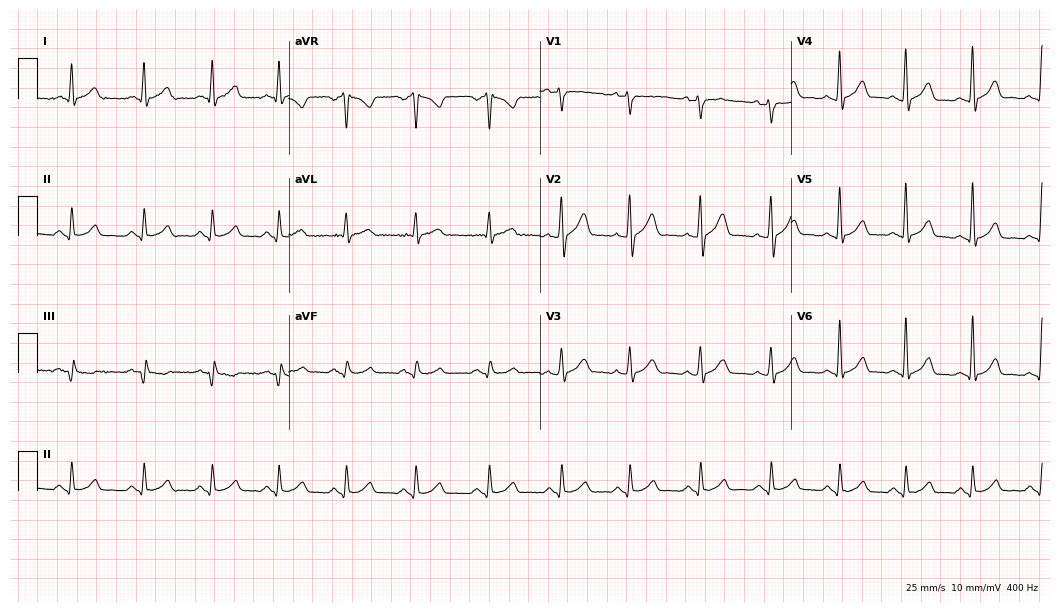
Resting 12-lead electrocardiogram. Patient: a 27-year-old male. Read as a normal ECG.